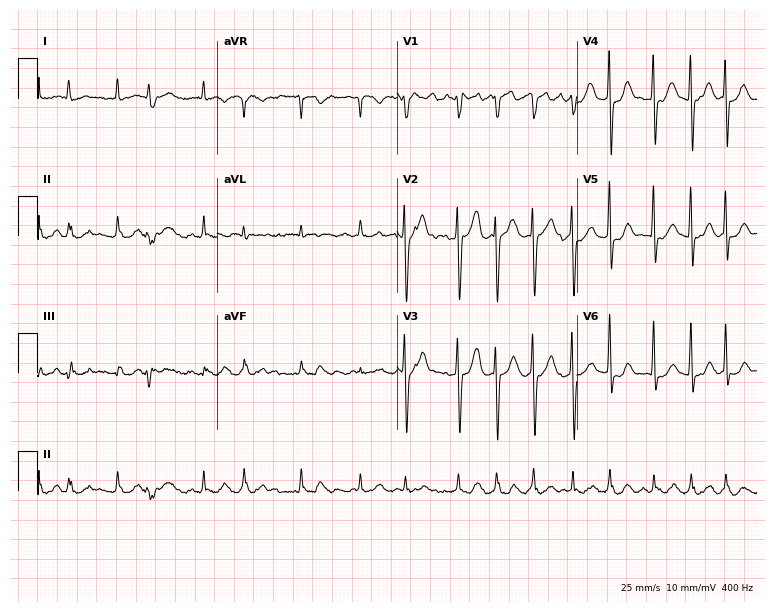
12-lead ECG (7.3-second recording at 400 Hz) from an 83-year-old male. Findings include sinus tachycardia (a sinus rate of 100 beats per minute or more).